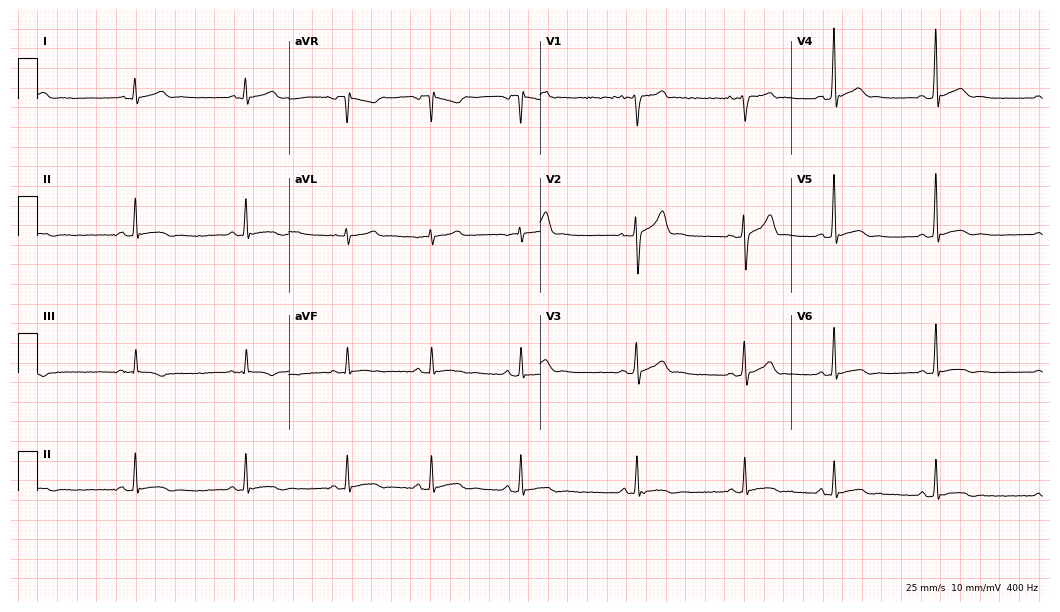
Resting 12-lead electrocardiogram (10.2-second recording at 400 Hz). Patient: a male, 23 years old. Read as a normal ECG.